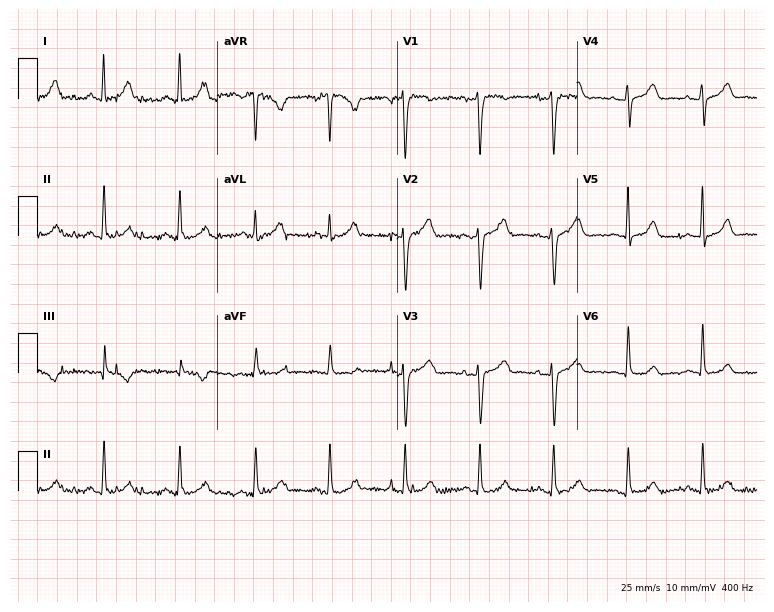
ECG (7.3-second recording at 400 Hz) — a female, 40 years old. Labelled as a normal ECG.